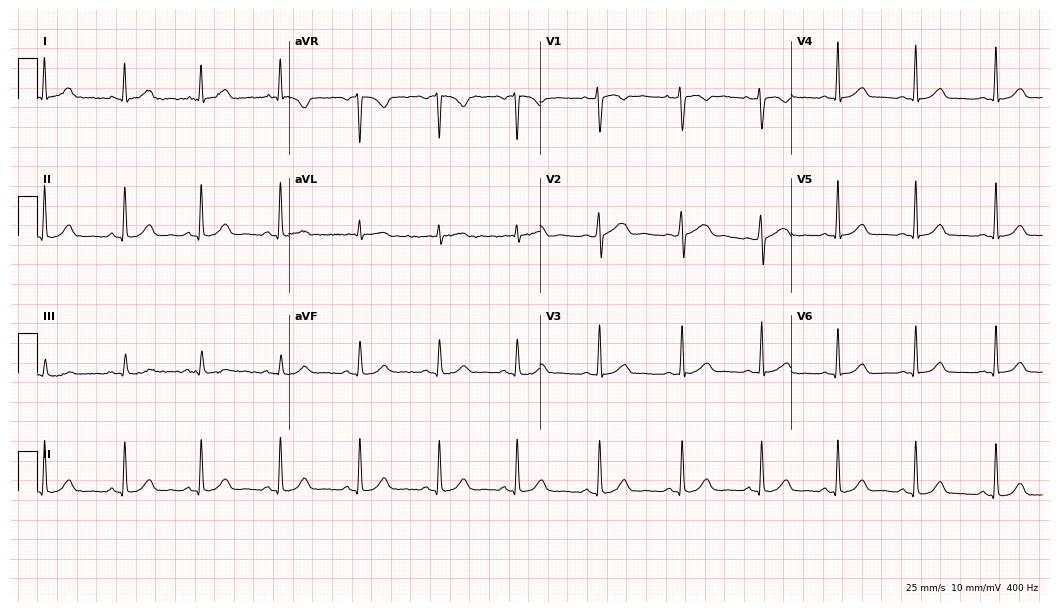
Electrocardiogram (10.2-second recording at 400 Hz), a woman, 33 years old. Overall reading on record: normal ECG.